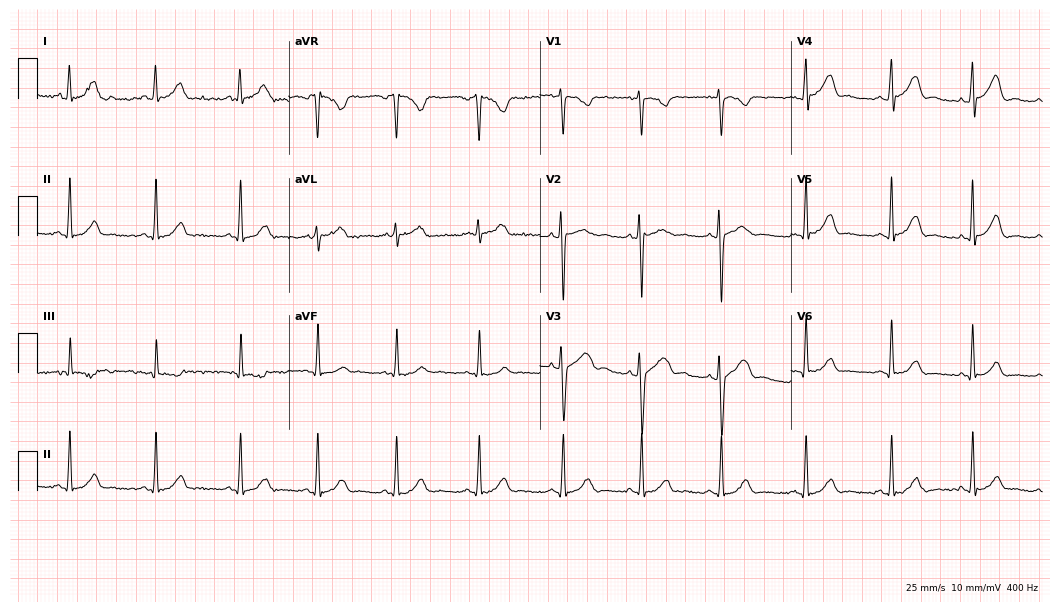
Electrocardiogram (10.2-second recording at 400 Hz), a woman, 26 years old. Overall reading on record: normal ECG.